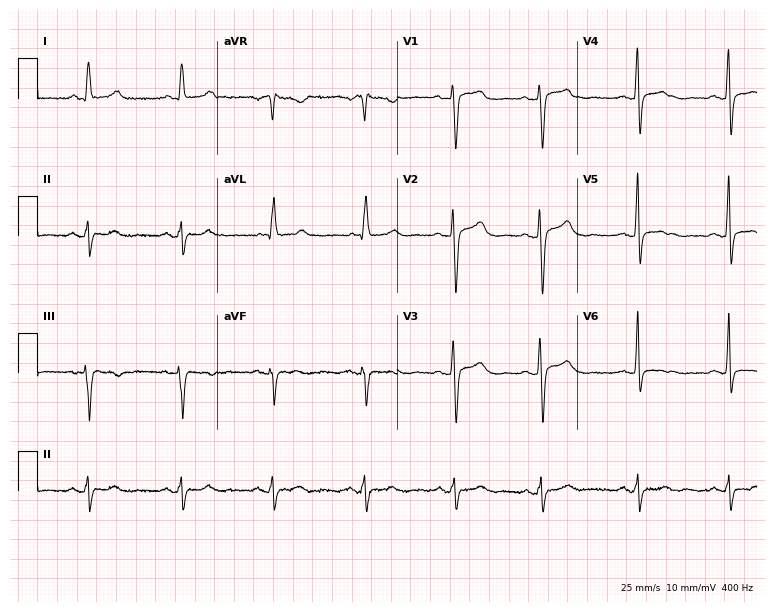
Standard 12-lead ECG recorded from a female patient, 56 years old (7.3-second recording at 400 Hz). None of these six findings is recorded: first-degree AV block, right bundle branch block, left bundle branch block, sinus bradycardia, atrial fibrillation, sinus tachycardia.